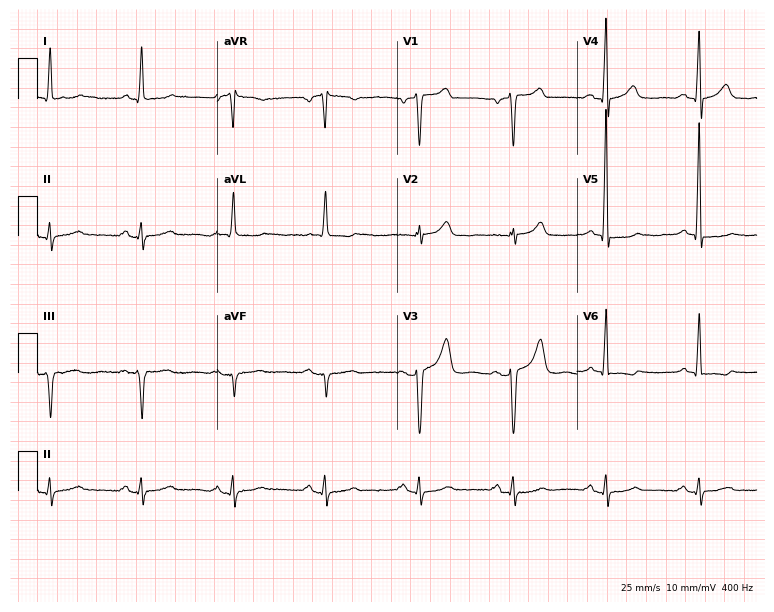
ECG — a man, 85 years old. Screened for six findings — first-degree AV block, right bundle branch block, left bundle branch block, sinus bradycardia, atrial fibrillation, sinus tachycardia — none is recorded.